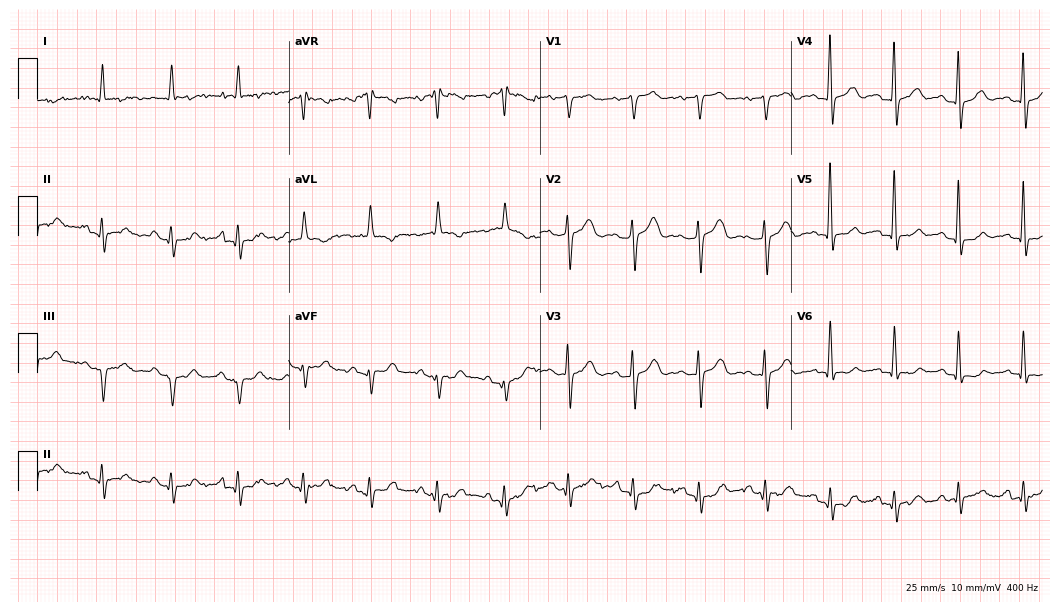
12-lead ECG from an 83-year-old man (10.2-second recording at 400 Hz). No first-degree AV block, right bundle branch block (RBBB), left bundle branch block (LBBB), sinus bradycardia, atrial fibrillation (AF) or sinus tachycardia recorded for this tracing. Only these six findings were labelled.